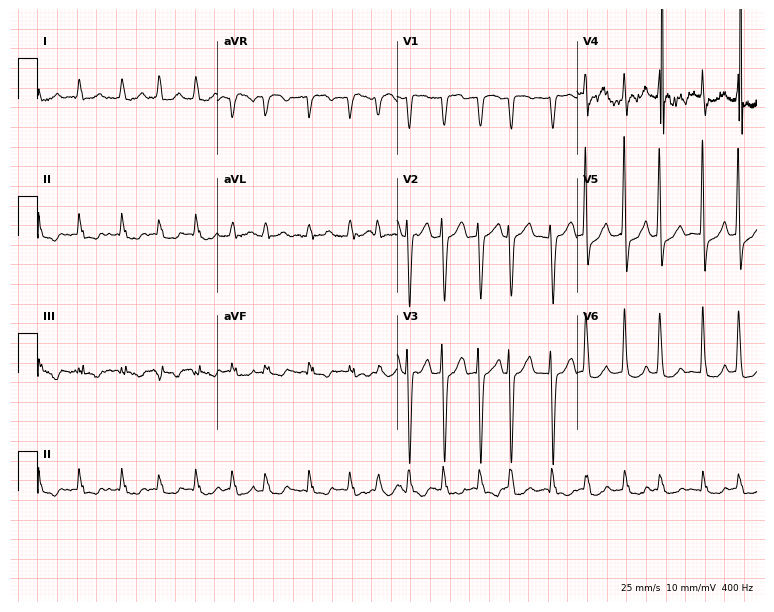
Resting 12-lead electrocardiogram. Patient: a female, 79 years old. The tracing shows sinus tachycardia (a sinus rate of 100 beats per minute or more).